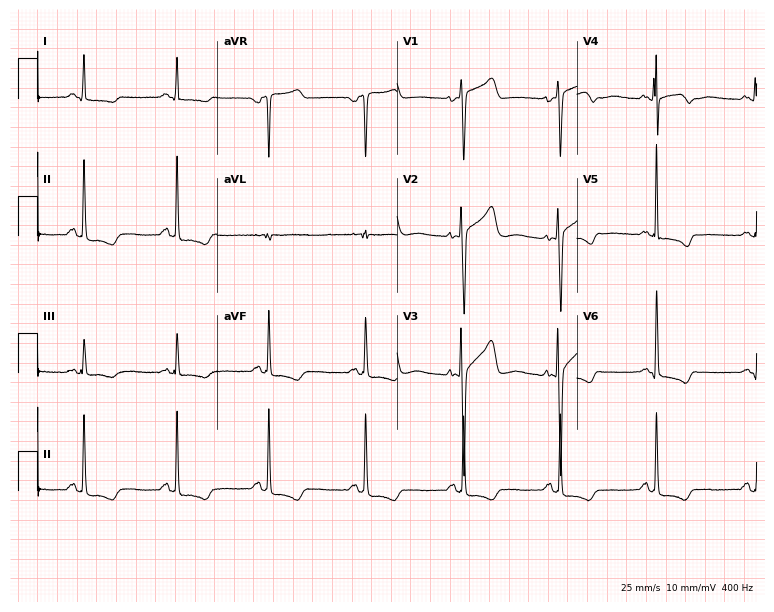
Electrocardiogram, a 55-year-old woman. Of the six screened findings (first-degree AV block, right bundle branch block, left bundle branch block, sinus bradycardia, atrial fibrillation, sinus tachycardia), none is recorded.